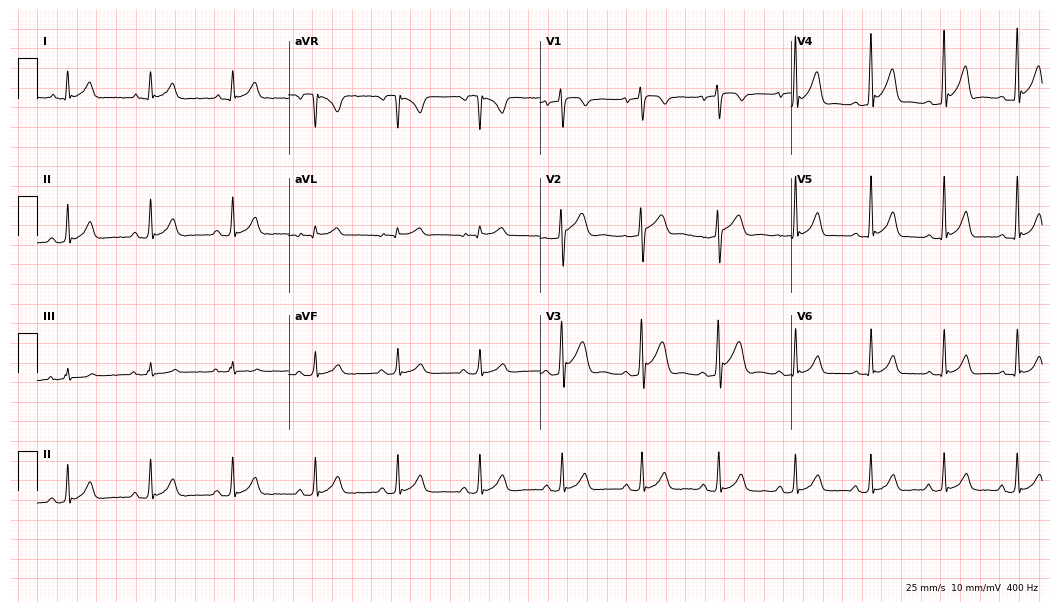
12-lead ECG from a 34-year-old man. Labelled as a normal ECG.